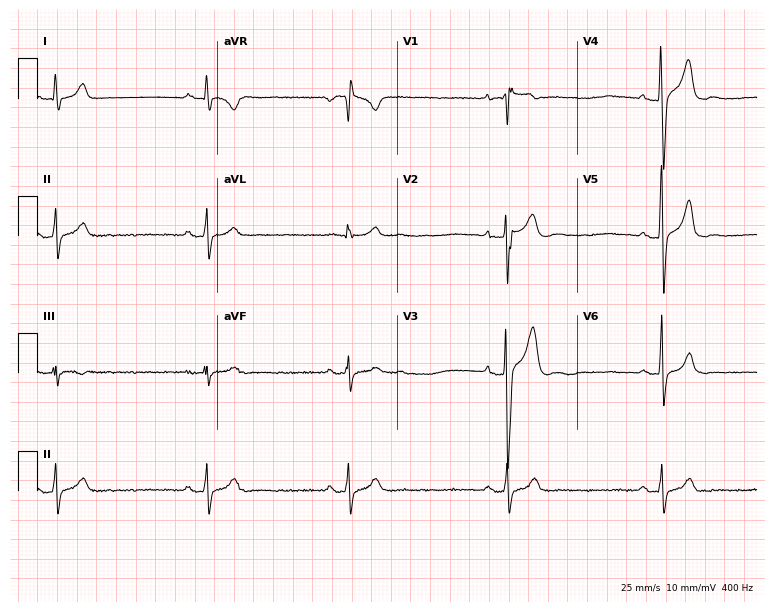
Standard 12-lead ECG recorded from a male patient, 33 years old. The tracing shows sinus bradycardia (a sinus rate of 50 beats per minute or less).